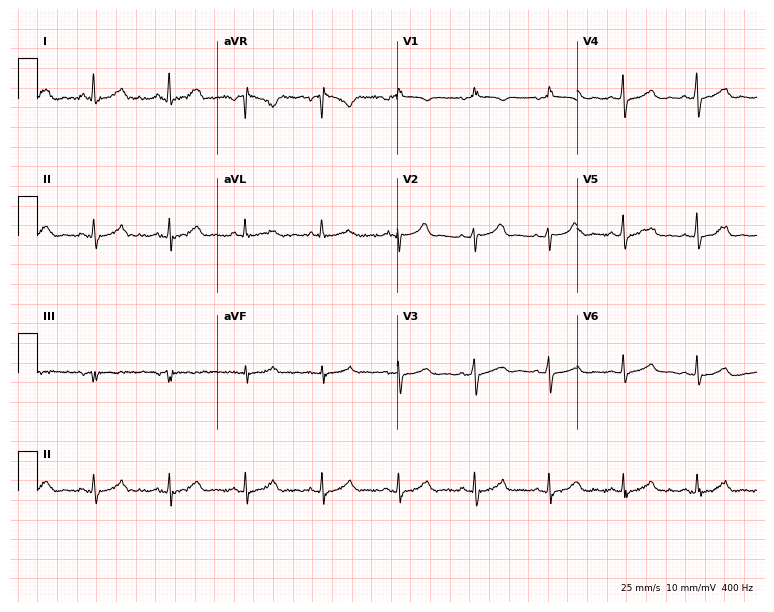
Electrocardiogram (7.3-second recording at 400 Hz), a woman, 62 years old. Of the six screened findings (first-degree AV block, right bundle branch block (RBBB), left bundle branch block (LBBB), sinus bradycardia, atrial fibrillation (AF), sinus tachycardia), none is recorded. Findings outside these six are not listed.